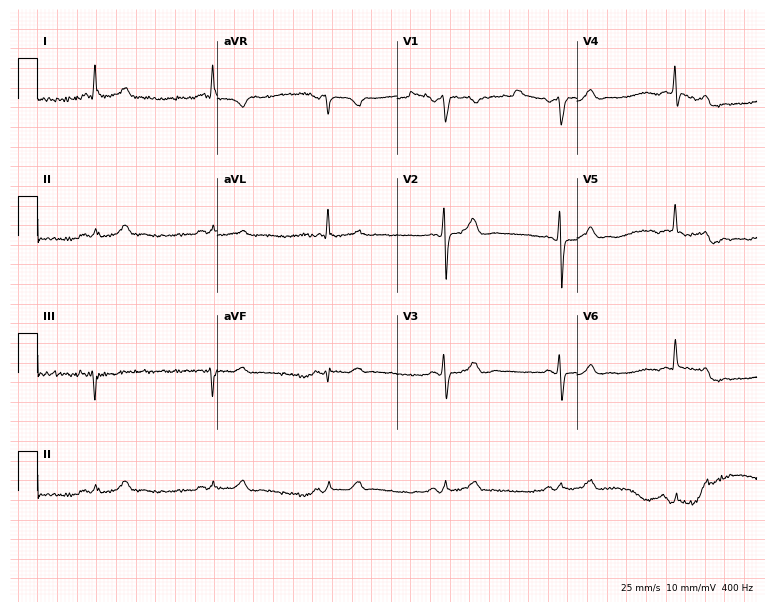
Resting 12-lead electrocardiogram. Patient: an 83-year-old female. Read as a normal ECG.